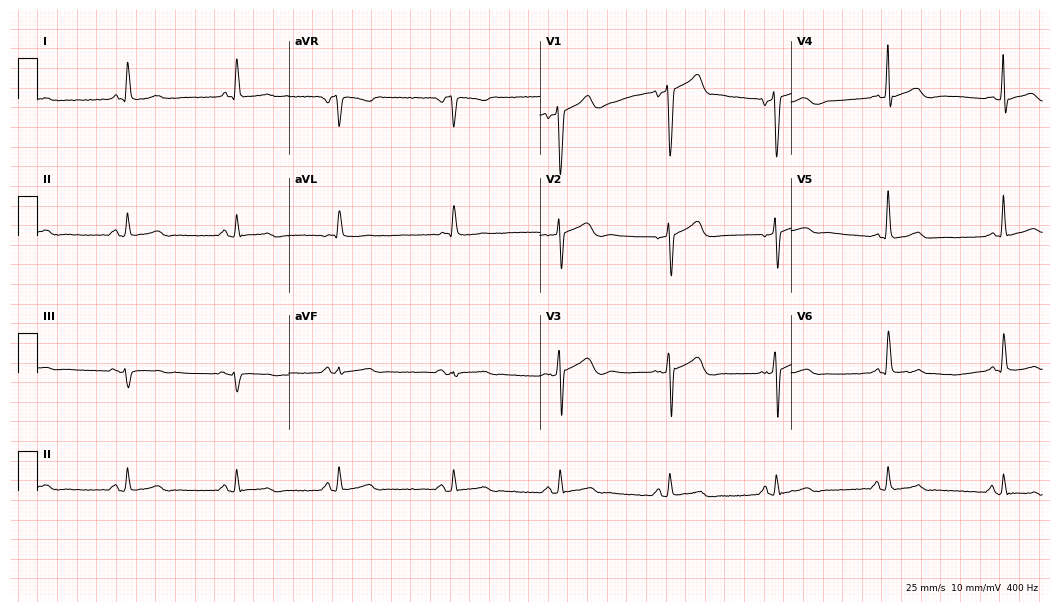
Resting 12-lead electrocardiogram (10.2-second recording at 400 Hz). Patient: a male, 65 years old. Read as a normal ECG.